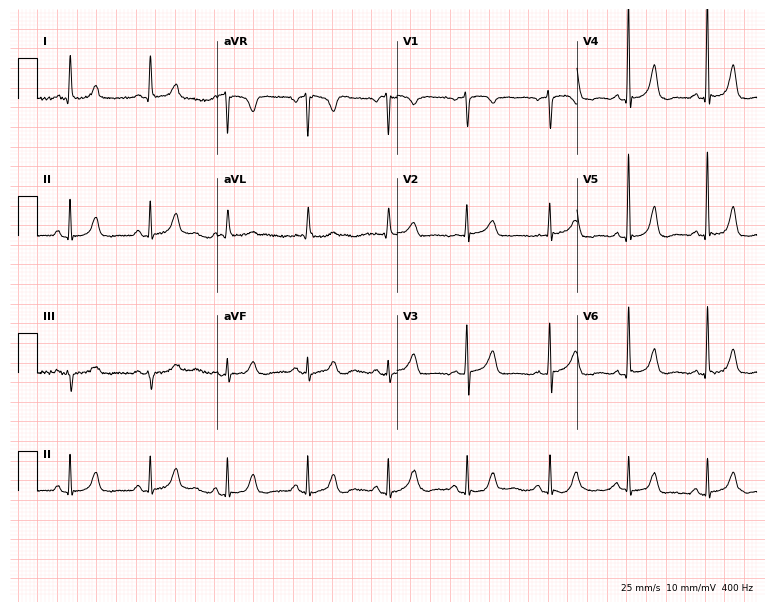
Electrocardiogram (7.3-second recording at 400 Hz), a woman, 76 years old. Of the six screened findings (first-degree AV block, right bundle branch block, left bundle branch block, sinus bradycardia, atrial fibrillation, sinus tachycardia), none is recorded. Other findings, if any, are not listed.